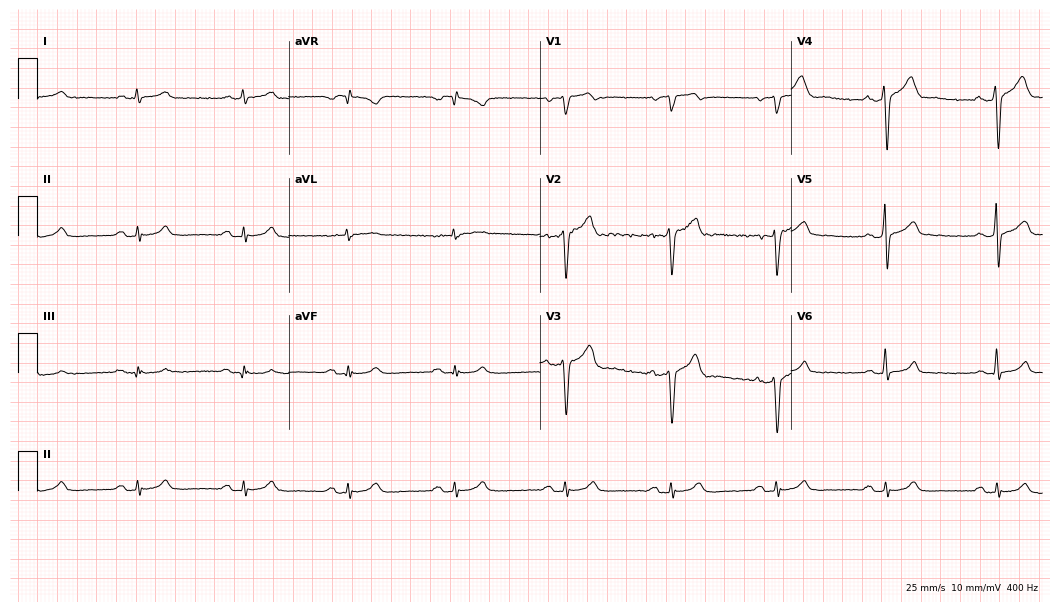
Electrocardiogram, a 47-year-old male patient. Overall reading on record: normal ECG.